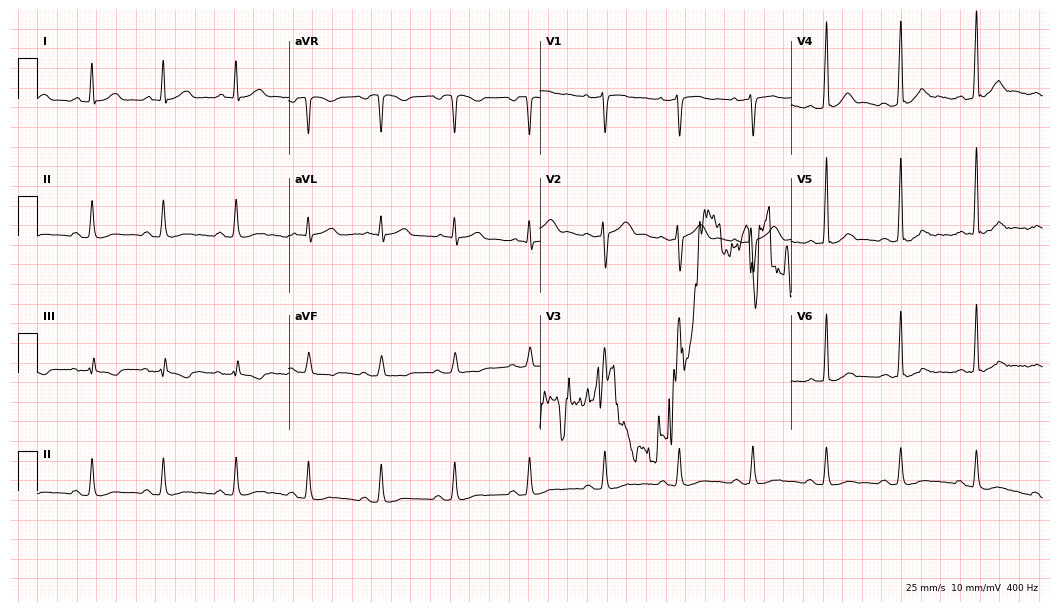
Resting 12-lead electrocardiogram (10.2-second recording at 400 Hz). Patient: a male, 47 years old. None of these six findings is recorded: first-degree AV block, right bundle branch block (RBBB), left bundle branch block (LBBB), sinus bradycardia, atrial fibrillation (AF), sinus tachycardia.